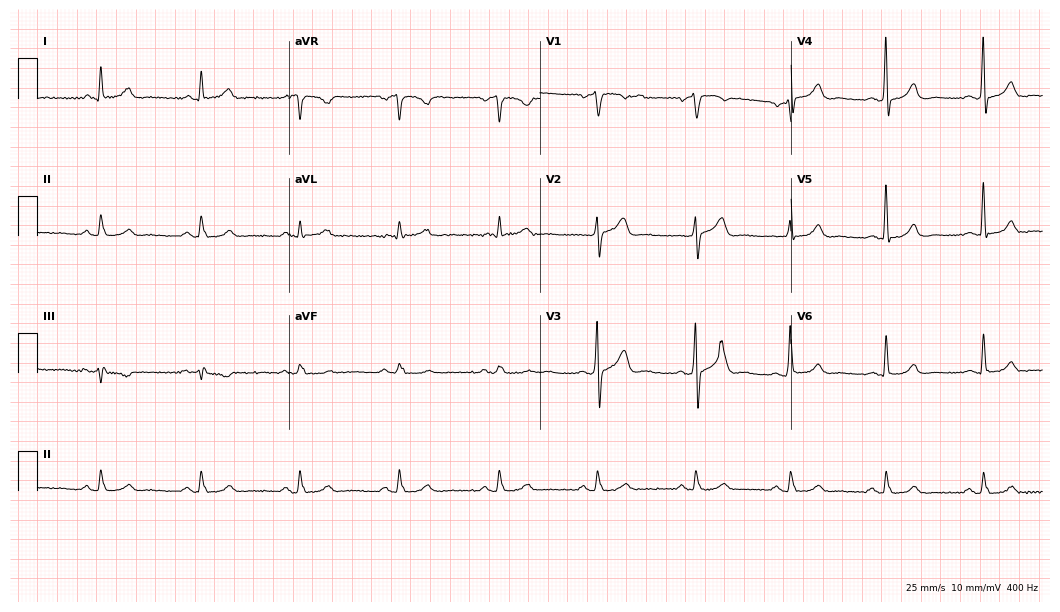
12-lead ECG (10.2-second recording at 400 Hz) from a 63-year-old male. Screened for six findings — first-degree AV block, right bundle branch block (RBBB), left bundle branch block (LBBB), sinus bradycardia, atrial fibrillation (AF), sinus tachycardia — none is recorded.